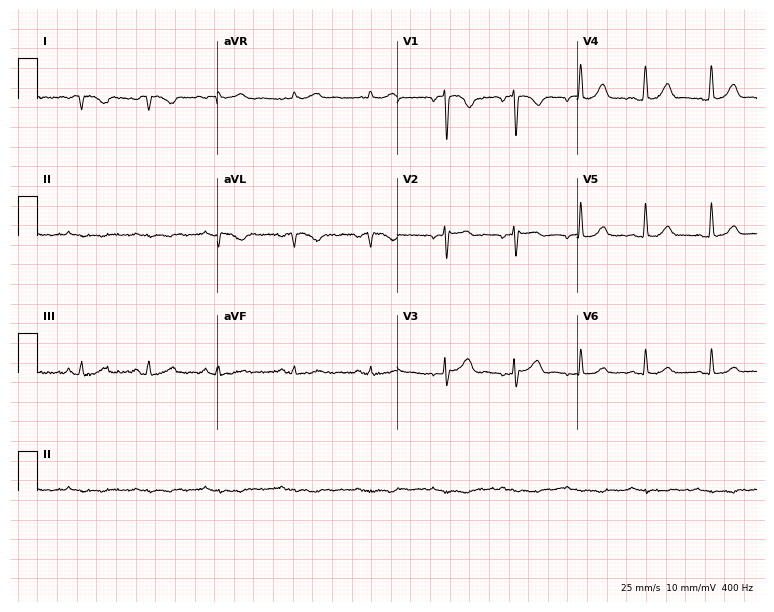
Resting 12-lead electrocardiogram. Patient: a woman, 44 years old. None of these six findings is recorded: first-degree AV block, right bundle branch block, left bundle branch block, sinus bradycardia, atrial fibrillation, sinus tachycardia. Only these six findings were labelled.